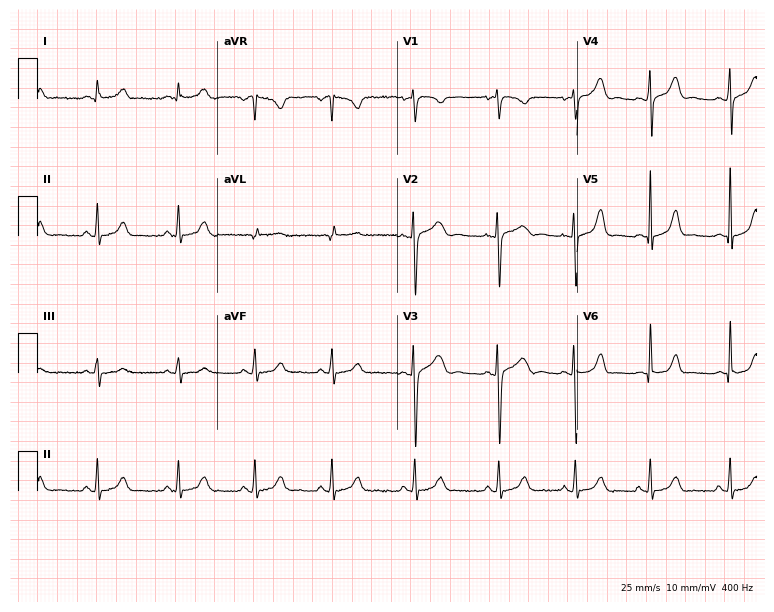
Electrocardiogram (7.3-second recording at 400 Hz), a 19-year-old female patient. Of the six screened findings (first-degree AV block, right bundle branch block (RBBB), left bundle branch block (LBBB), sinus bradycardia, atrial fibrillation (AF), sinus tachycardia), none is recorded.